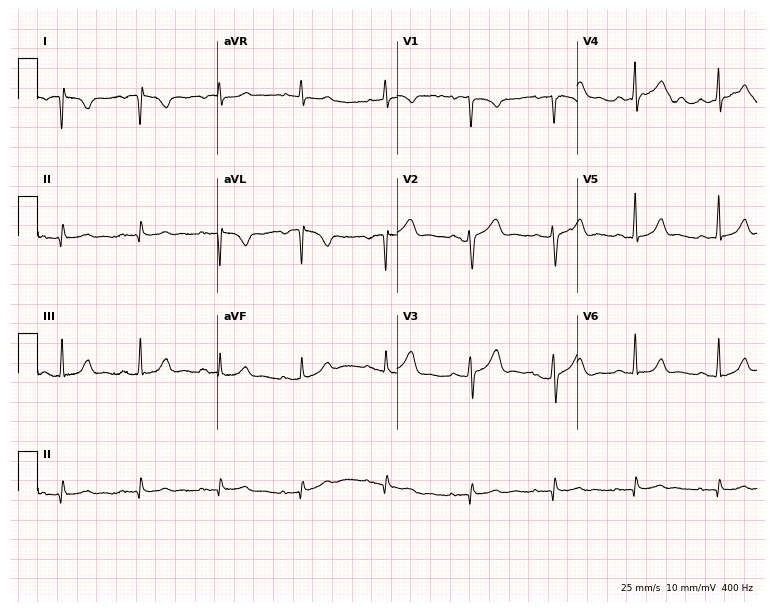
Resting 12-lead electrocardiogram (7.3-second recording at 400 Hz). Patient: a 46-year-old female. None of these six findings is recorded: first-degree AV block, right bundle branch block, left bundle branch block, sinus bradycardia, atrial fibrillation, sinus tachycardia.